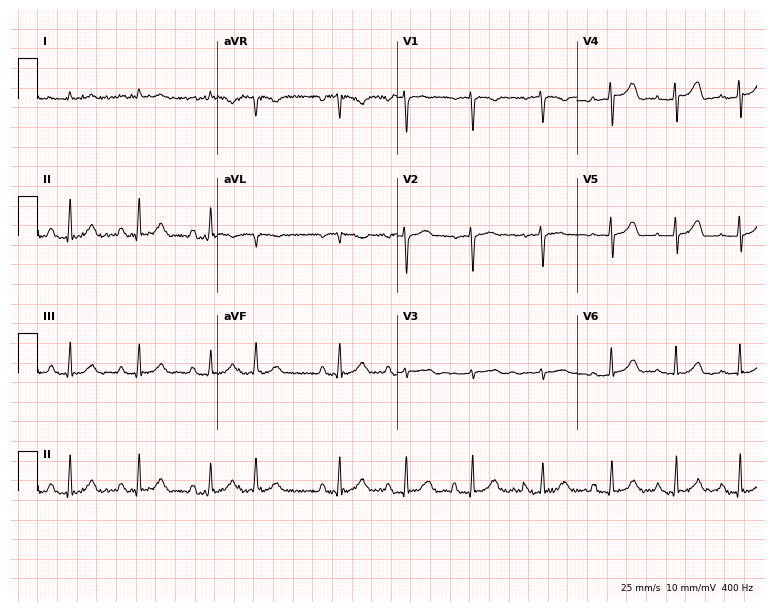
Resting 12-lead electrocardiogram. Patient: a 71-year-old man. None of these six findings is recorded: first-degree AV block, right bundle branch block (RBBB), left bundle branch block (LBBB), sinus bradycardia, atrial fibrillation (AF), sinus tachycardia. Findings outside these six are not listed.